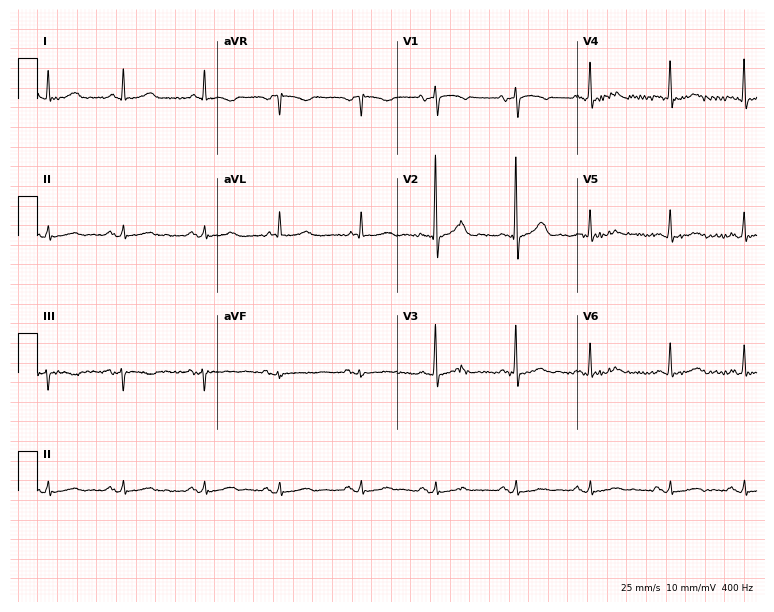
Standard 12-lead ECG recorded from a female patient, 80 years old. None of these six findings is recorded: first-degree AV block, right bundle branch block (RBBB), left bundle branch block (LBBB), sinus bradycardia, atrial fibrillation (AF), sinus tachycardia. Findings outside these six are not listed.